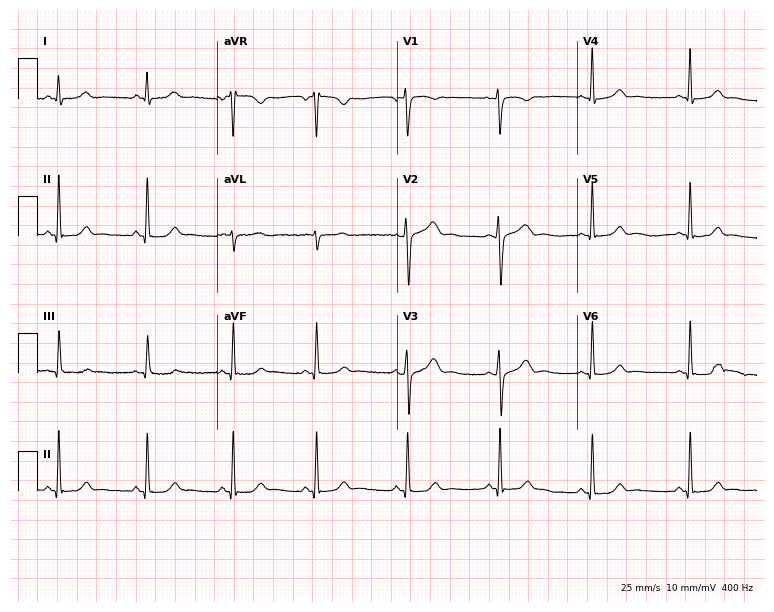
ECG (7.3-second recording at 400 Hz) — a 24-year-old female patient. Labelled as a normal ECG.